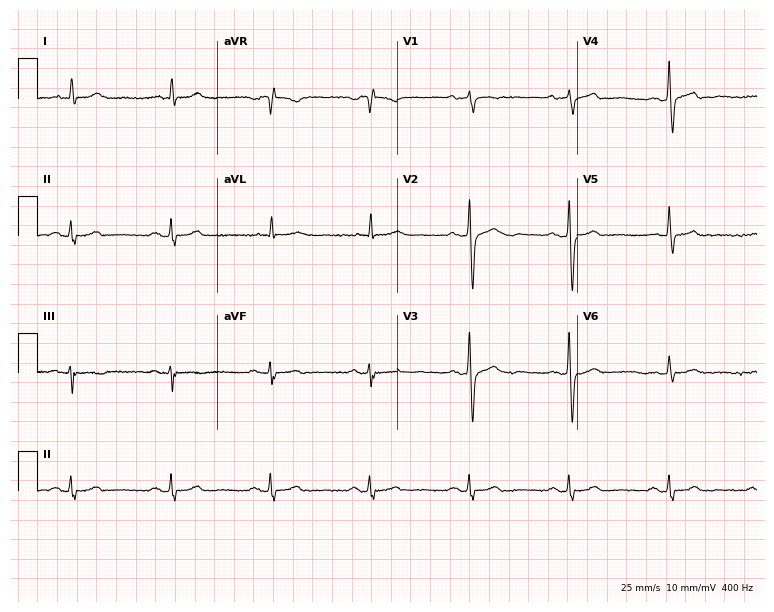
Resting 12-lead electrocardiogram. Patient: a 69-year-old man. Read as a normal ECG.